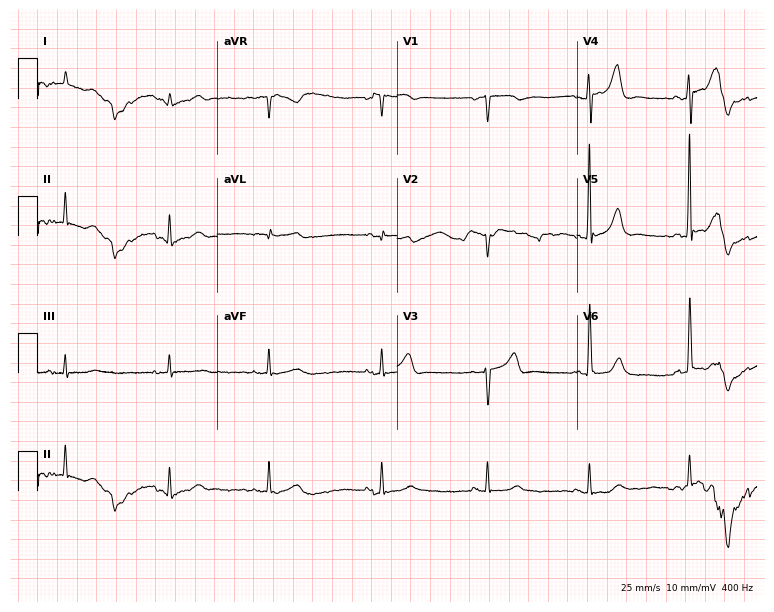
Resting 12-lead electrocardiogram (7.3-second recording at 400 Hz). Patient: a male, 70 years old. None of these six findings is recorded: first-degree AV block, right bundle branch block (RBBB), left bundle branch block (LBBB), sinus bradycardia, atrial fibrillation (AF), sinus tachycardia.